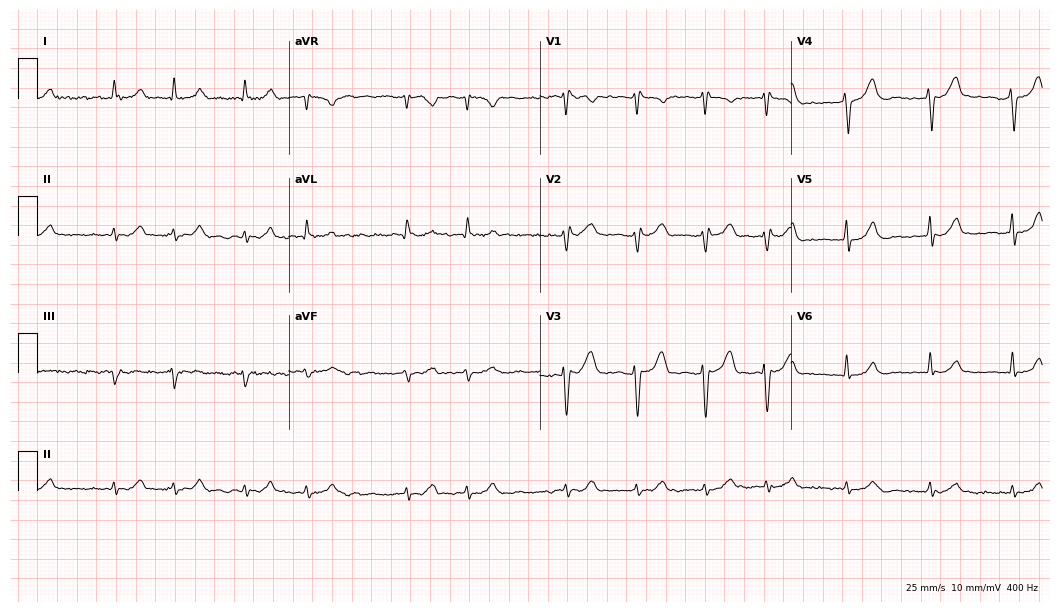
ECG — a male, 81 years old. Findings include atrial fibrillation.